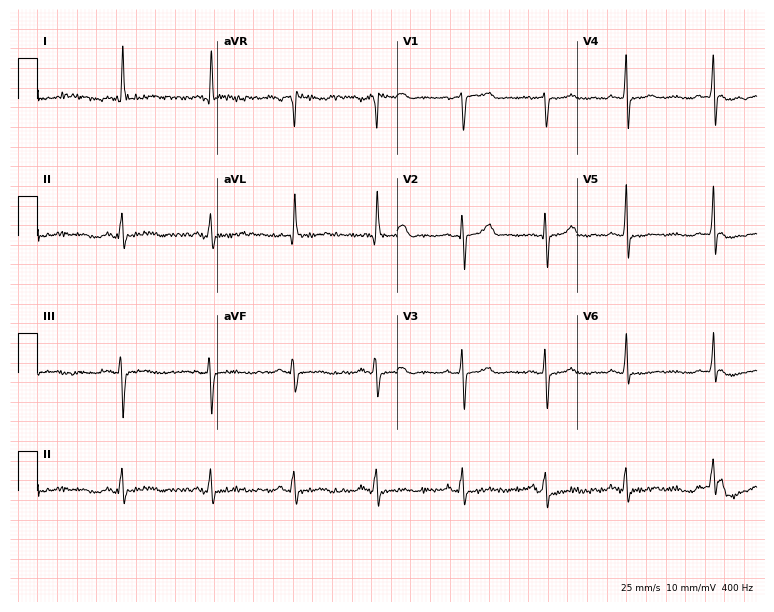
12-lead ECG from a 51-year-old female patient. Screened for six findings — first-degree AV block, right bundle branch block (RBBB), left bundle branch block (LBBB), sinus bradycardia, atrial fibrillation (AF), sinus tachycardia — none is recorded. Only these six findings were labelled.